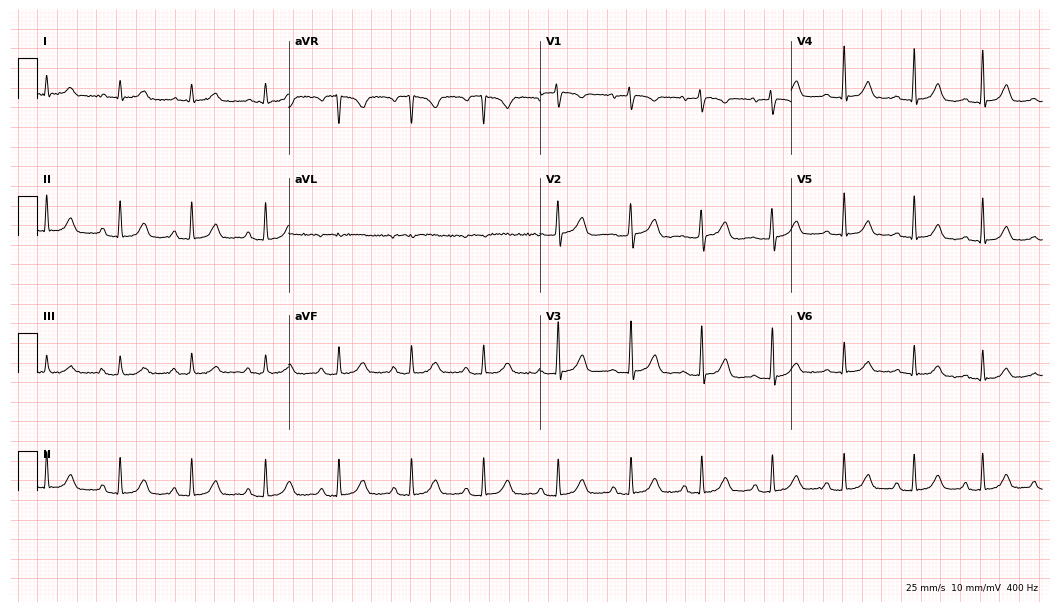
Standard 12-lead ECG recorded from a female patient, 45 years old (10.2-second recording at 400 Hz). Read as a normal ECG.